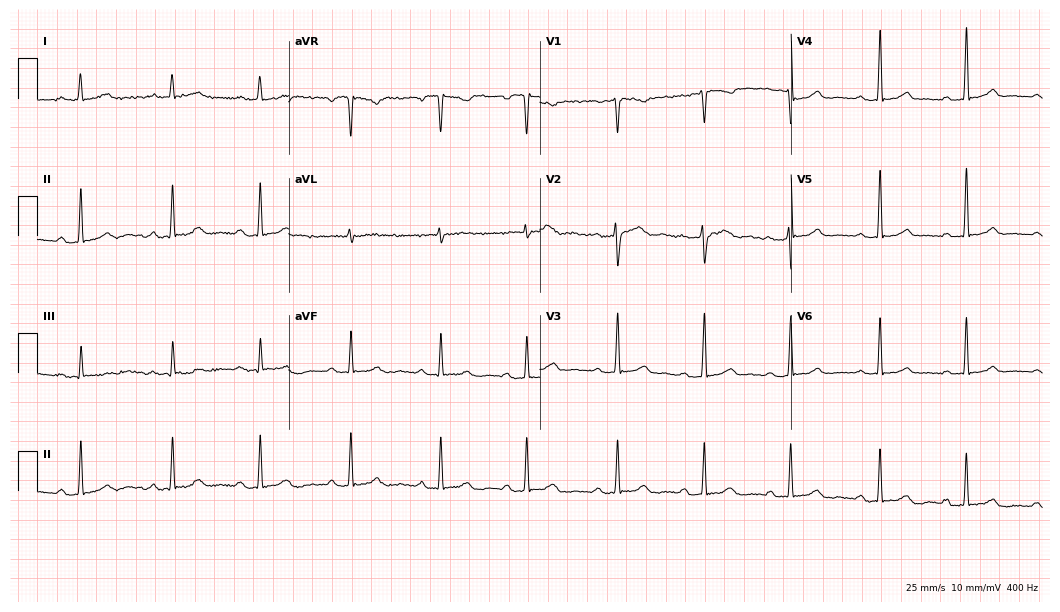
12-lead ECG (10.2-second recording at 400 Hz) from a female patient, 40 years old. Labelled as a normal ECG.